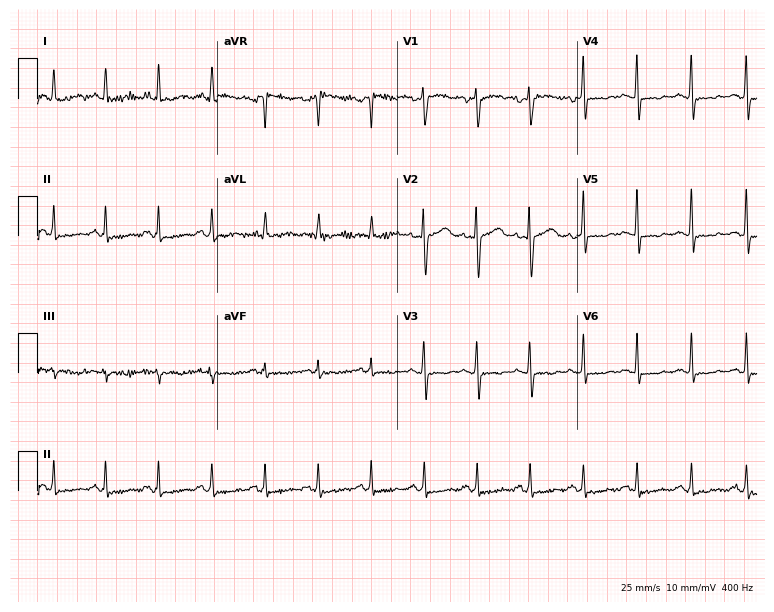
Resting 12-lead electrocardiogram (7.3-second recording at 400 Hz). Patient: a 33-year-old female. The tracing shows sinus tachycardia (a sinus rate of 100 beats per minute or more).